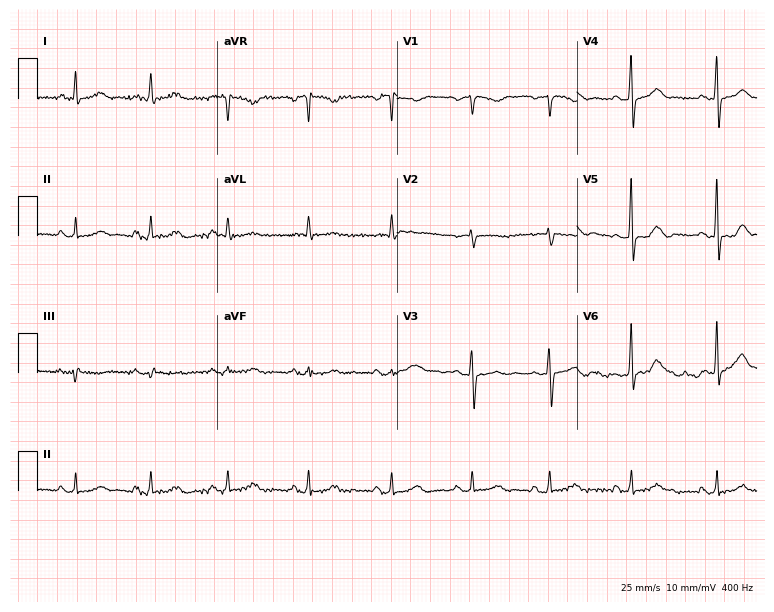
Electrocardiogram, a 70-year-old female patient. Of the six screened findings (first-degree AV block, right bundle branch block, left bundle branch block, sinus bradycardia, atrial fibrillation, sinus tachycardia), none is recorded. Only these six findings were labelled.